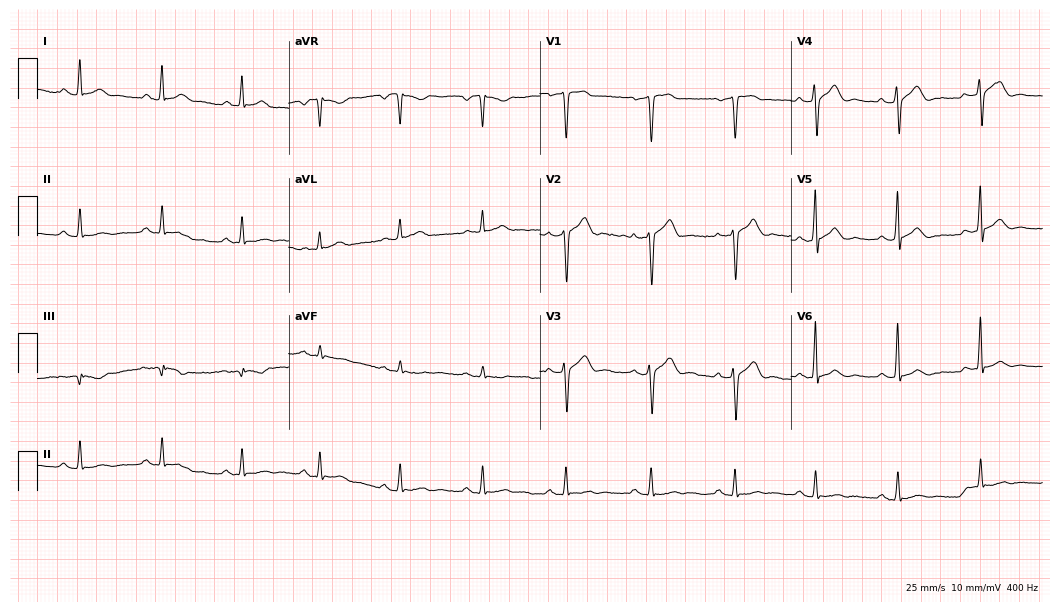
ECG — a female patient, 34 years old. Screened for six findings — first-degree AV block, right bundle branch block (RBBB), left bundle branch block (LBBB), sinus bradycardia, atrial fibrillation (AF), sinus tachycardia — none is recorded.